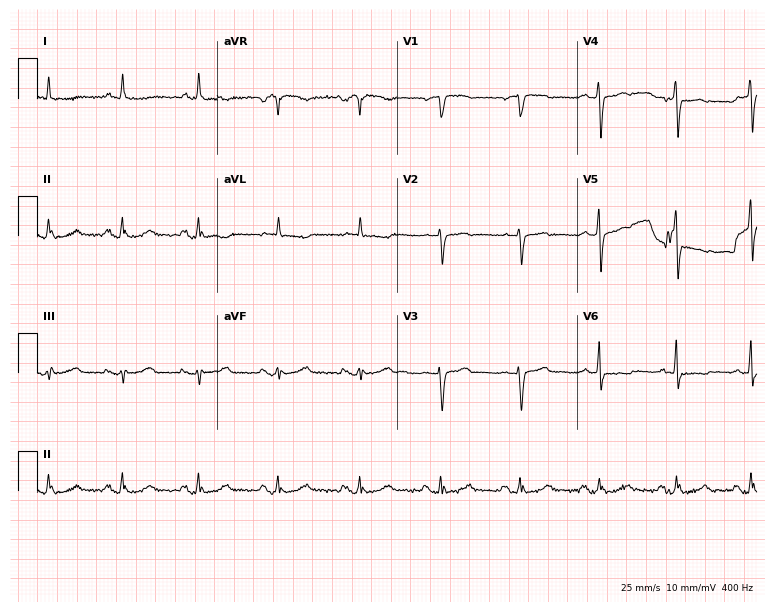
Electrocardiogram, a 72-year-old female patient. Of the six screened findings (first-degree AV block, right bundle branch block, left bundle branch block, sinus bradycardia, atrial fibrillation, sinus tachycardia), none is recorded. Other findings, if any, are not listed.